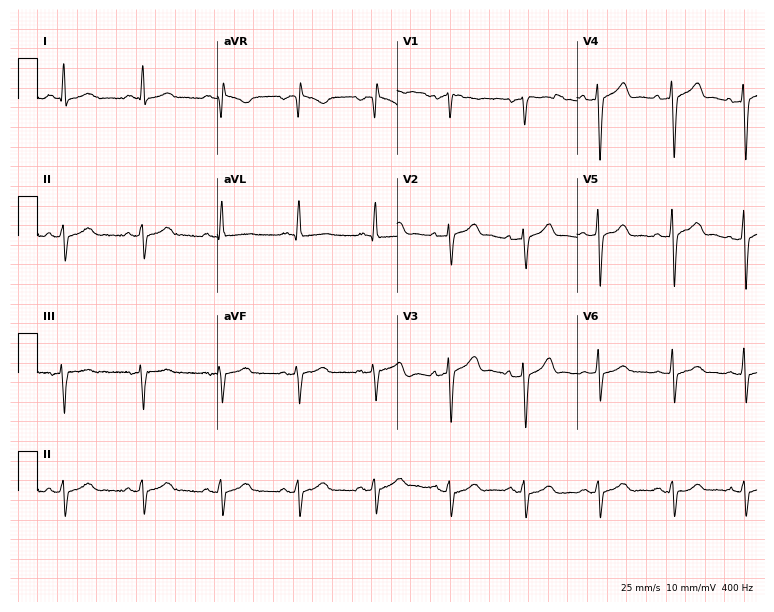
Standard 12-lead ECG recorded from a male, 53 years old (7.3-second recording at 400 Hz). None of these six findings is recorded: first-degree AV block, right bundle branch block, left bundle branch block, sinus bradycardia, atrial fibrillation, sinus tachycardia. Only these six findings were labelled.